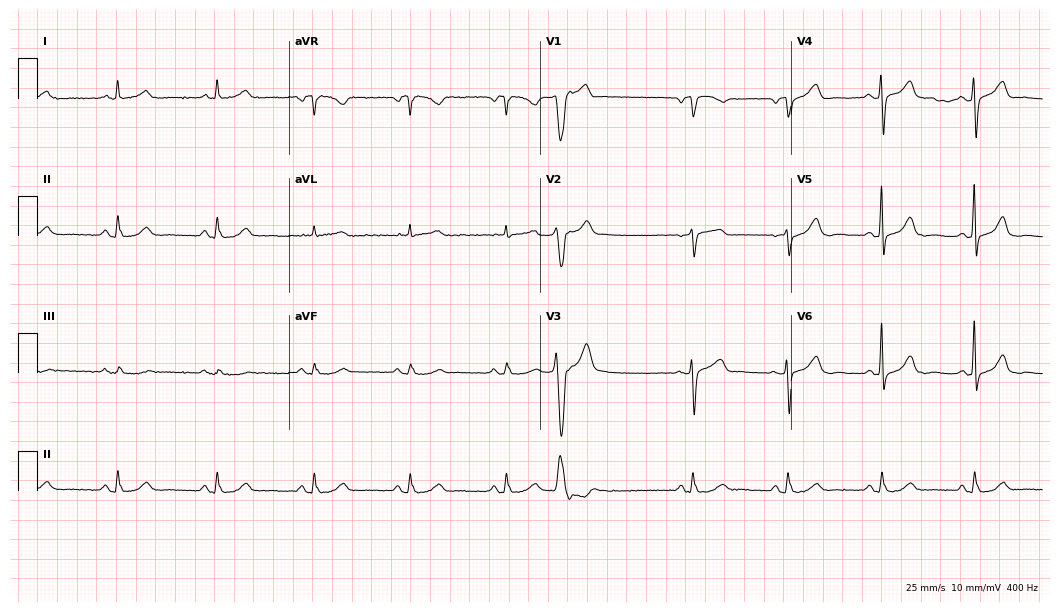
12-lead ECG (10.2-second recording at 400 Hz) from a 73-year-old male patient. Labelled as a normal ECG.